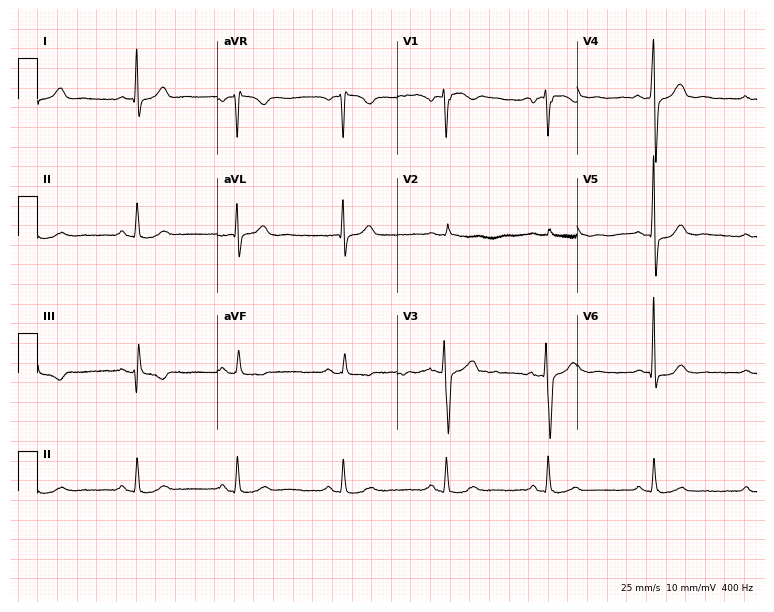
Standard 12-lead ECG recorded from a 54-year-old male patient (7.3-second recording at 400 Hz). None of these six findings is recorded: first-degree AV block, right bundle branch block, left bundle branch block, sinus bradycardia, atrial fibrillation, sinus tachycardia. Findings outside these six are not listed.